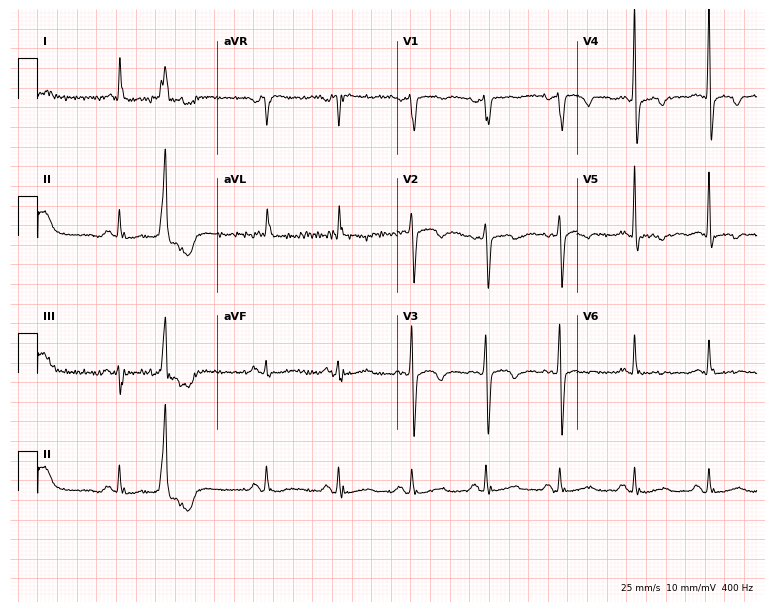
Electrocardiogram, an 82-year-old female. Of the six screened findings (first-degree AV block, right bundle branch block, left bundle branch block, sinus bradycardia, atrial fibrillation, sinus tachycardia), none is recorded. Only these six findings were labelled.